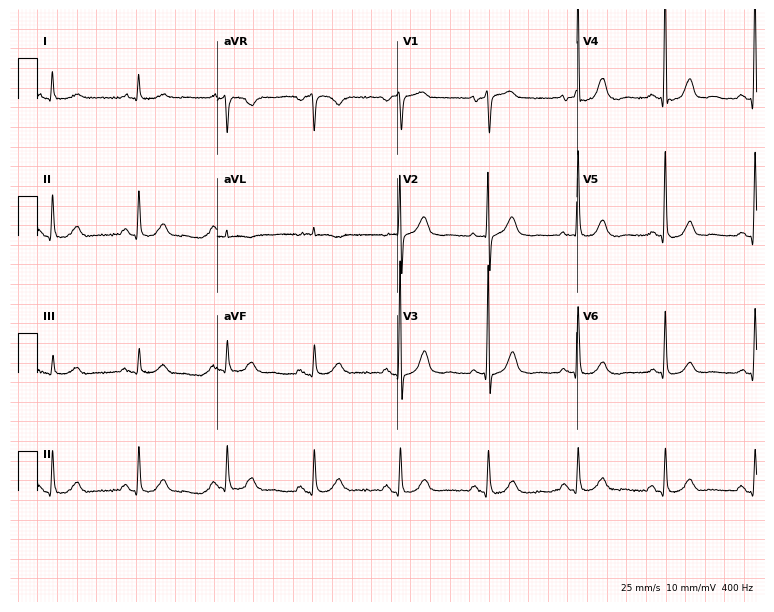
ECG — a male, 78 years old. Labelled as a normal ECG.